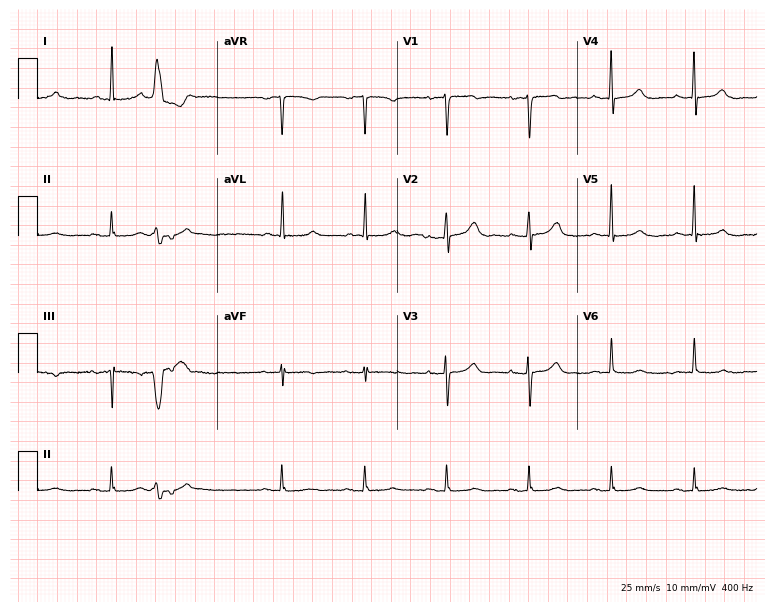
12-lead ECG (7.3-second recording at 400 Hz) from a 68-year-old woman. Labelled as a normal ECG.